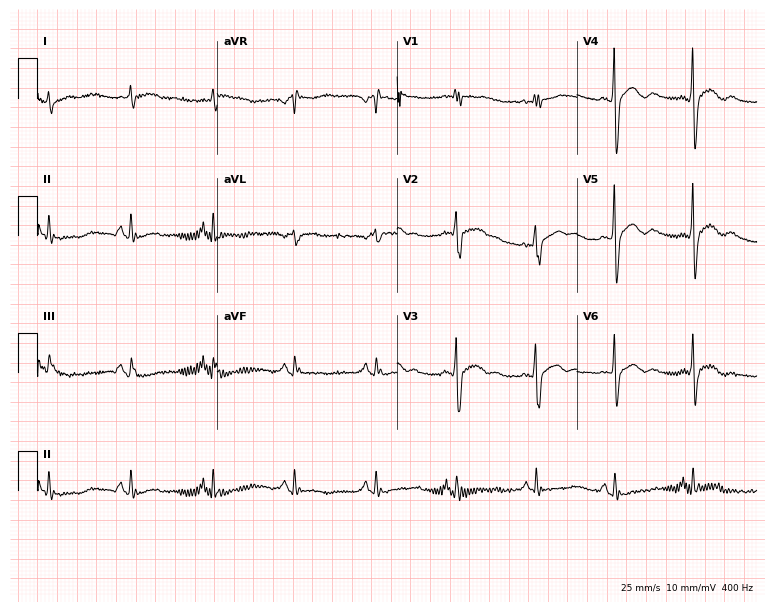
12-lead ECG (7.3-second recording at 400 Hz) from a man, 85 years old. Screened for six findings — first-degree AV block, right bundle branch block, left bundle branch block, sinus bradycardia, atrial fibrillation, sinus tachycardia — none is recorded. Only these six findings were labelled.